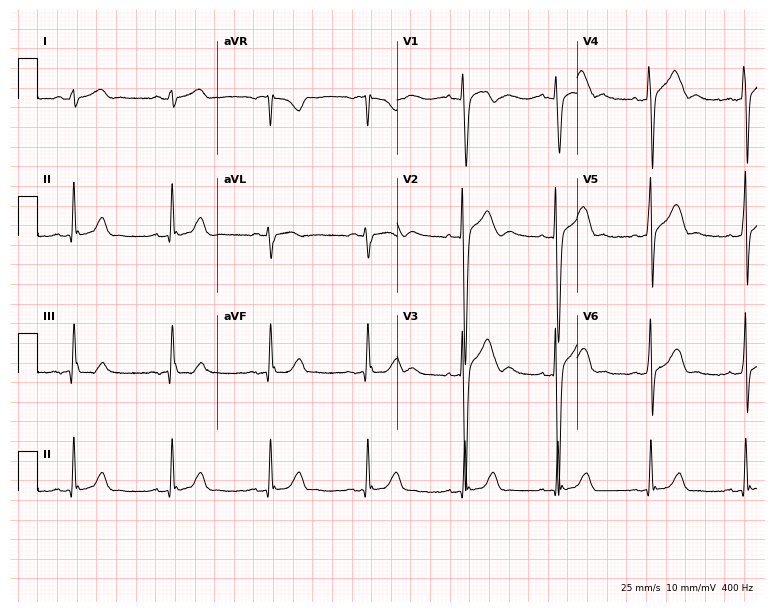
Electrocardiogram (7.3-second recording at 400 Hz), a 25-year-old male patient. Overall reading on record: normal ECG.